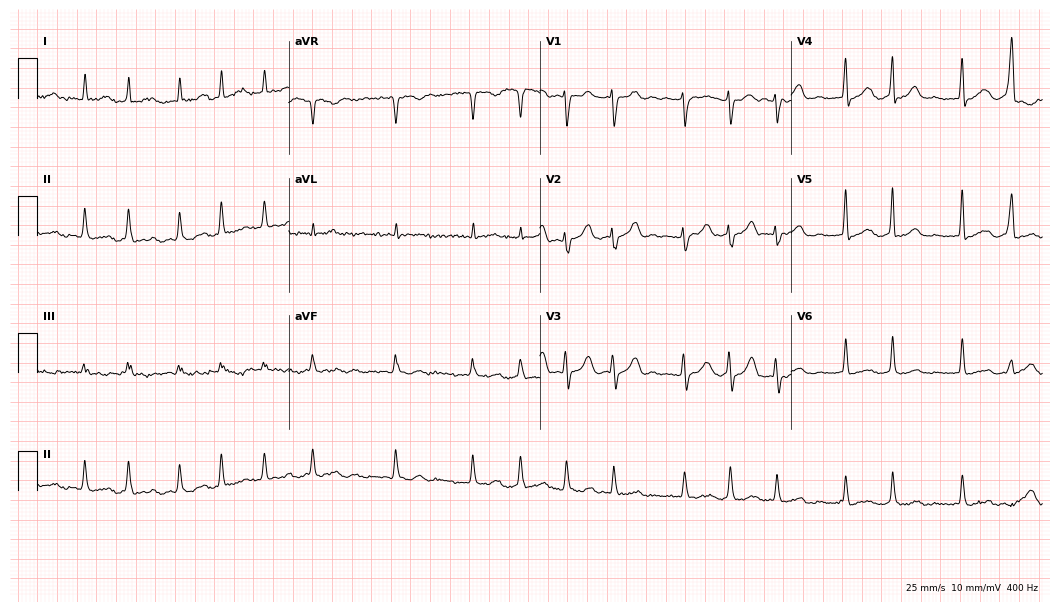
12-lead ECG from a 76-year-old woman. Shows atrial fibrillation (AF).